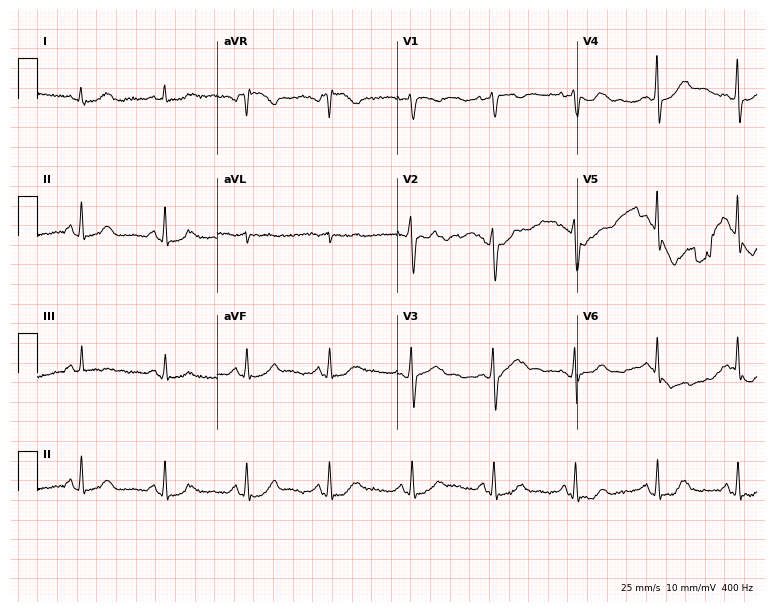
Resting 12-lead electrocardiogram (7.3-second recording at 400 Hz). Patient: a female, 43 years old. Read as a normal ECG.